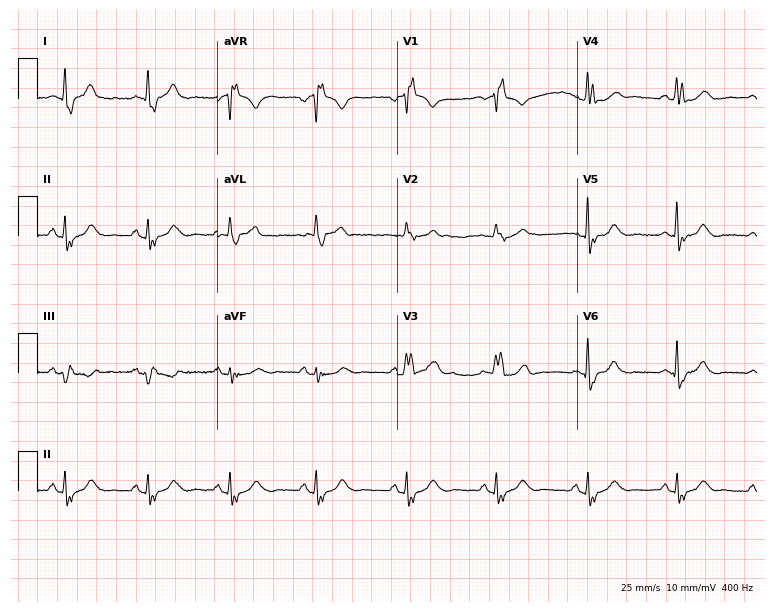
12-lead ECG from a 77-year-old female patient. Shows right bundle branch block.